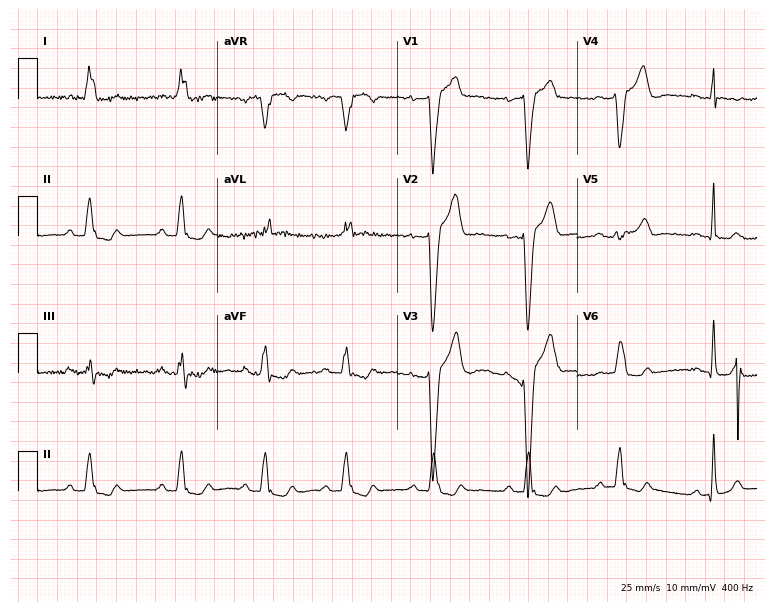
Standard 12-lead ECG recorded from a female, 52 years old (7.3-second recording at 400 Hz). The tracing shows left bundle branch block.